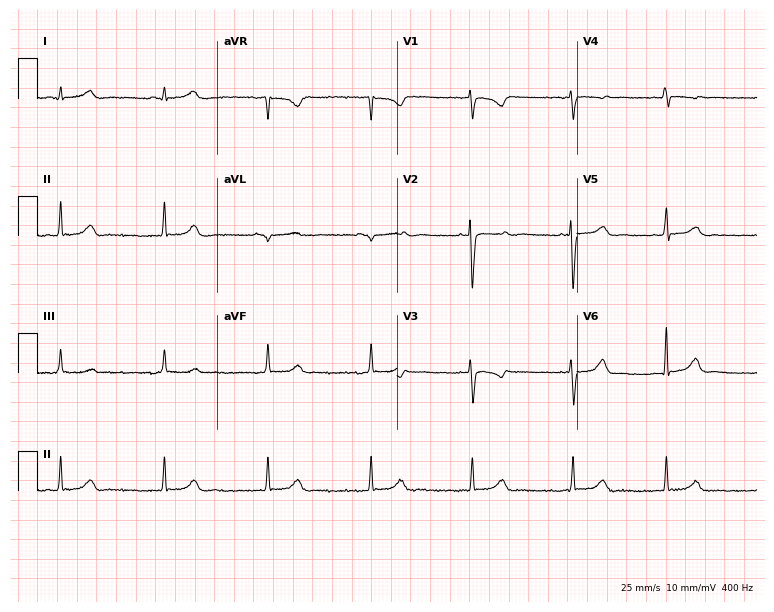
ECG — a 21-year-old female patient. Labelled as a normal ECG.